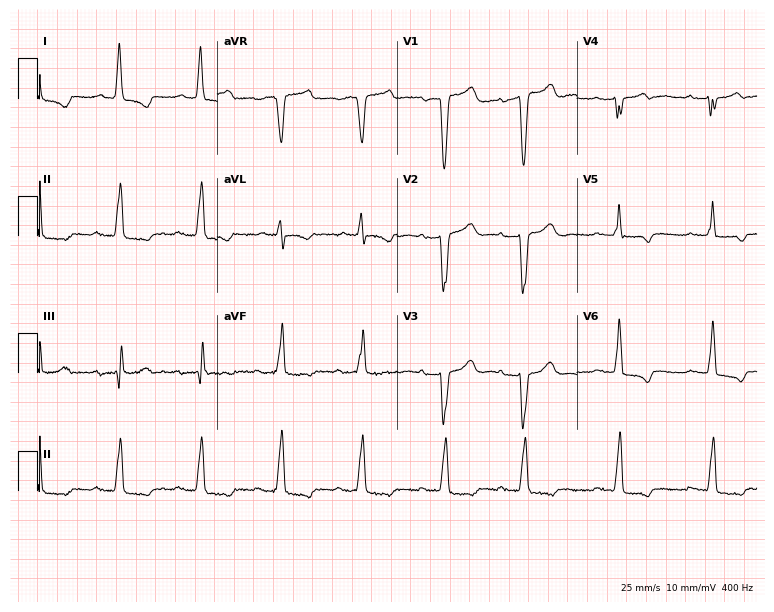
12-lead ECG from a 74-year-old female patient. Screened for six findings — first-degree AV block, right bundle branch block, left bundle branch block, sinus bradycardia, atrial fibrillation, sinus tachycardia — none is recorded. Only these six findings were labelled.